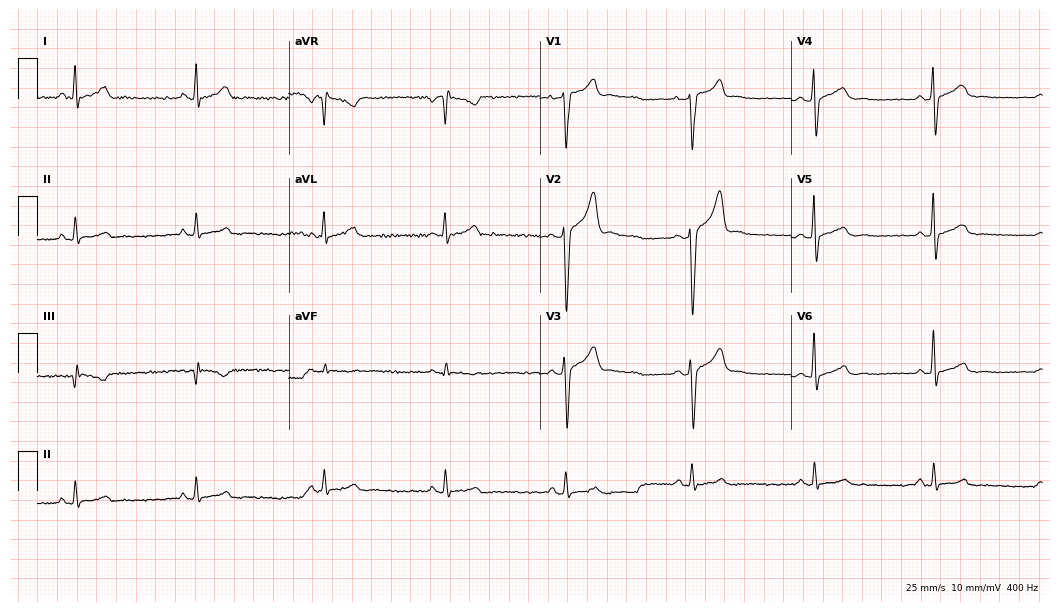
12-lead ECG from a male, 37 years old (10.2-second recording at 400 Hz). Shows sinus bradycardia (a sinus rate of 50 beats per minute or less).